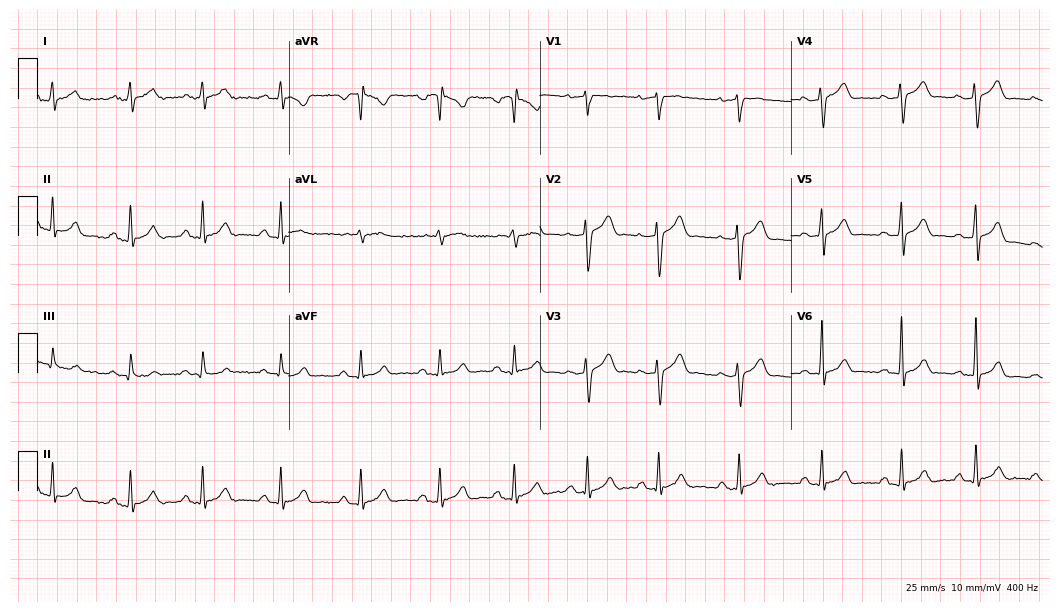
Standard 12-lead ECG recorded from a male patient, 27 years old. Read as a normal ECG.